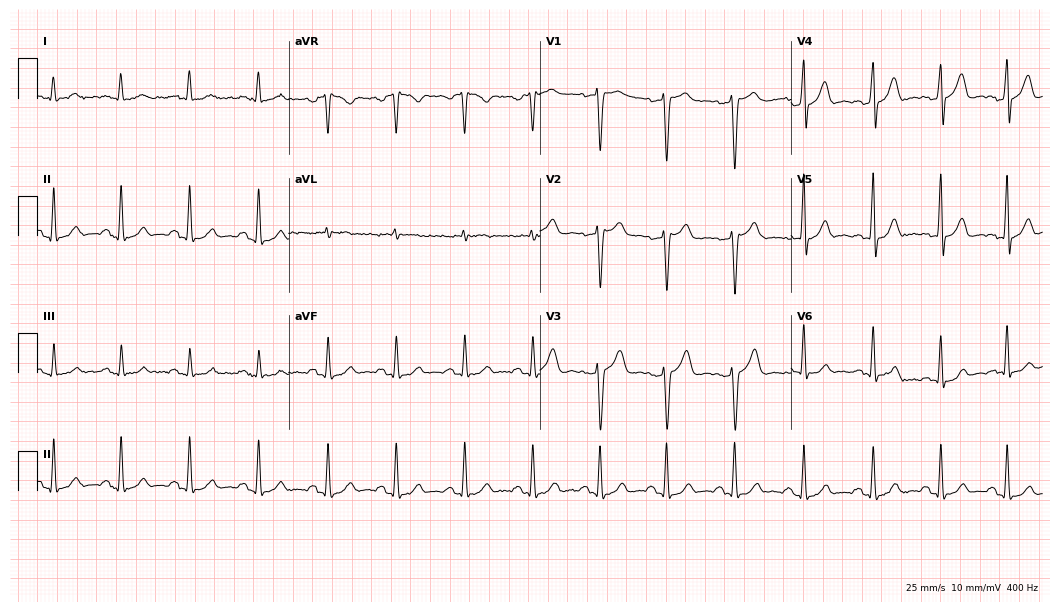
12-lead ECG (10.2-second recording at 400 Hz) from a man, 42 years old. Labelled as a normal ECG.